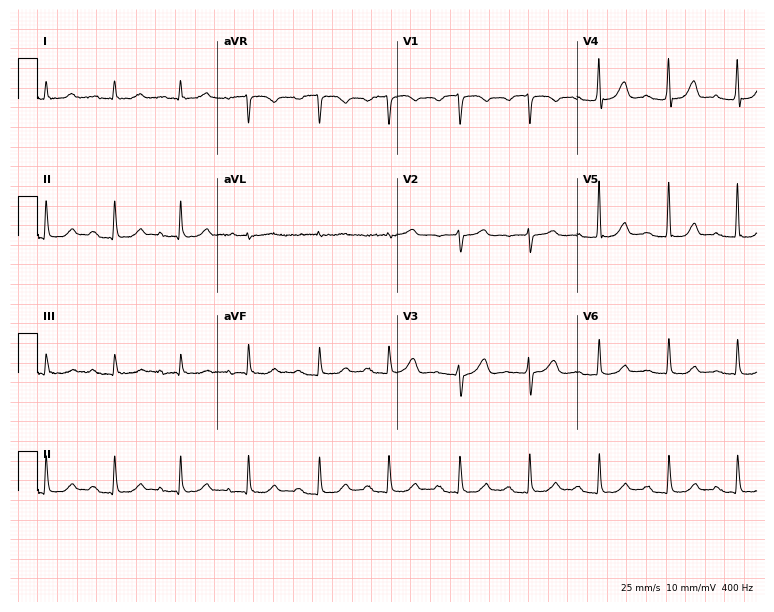
12-lead ECG (7.3-second recording at 400 Hz) from a 79-year-old woman. Findings include first-degree AV block.